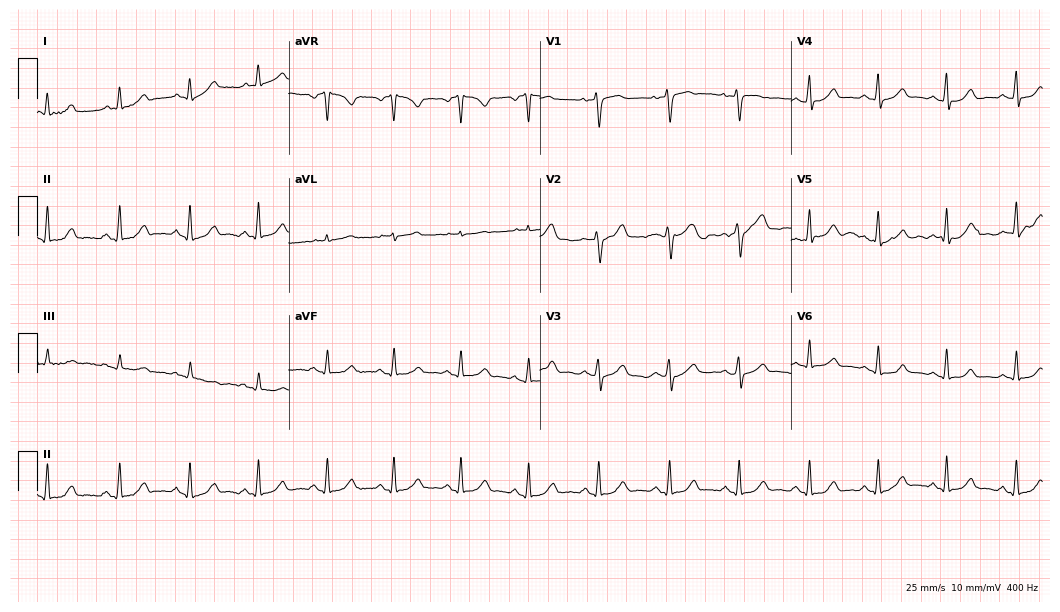
12-lead ECG from a female patient, 47 years old (10.2-second recording at 400 Hz). Recorded interpretation: within normal limits.